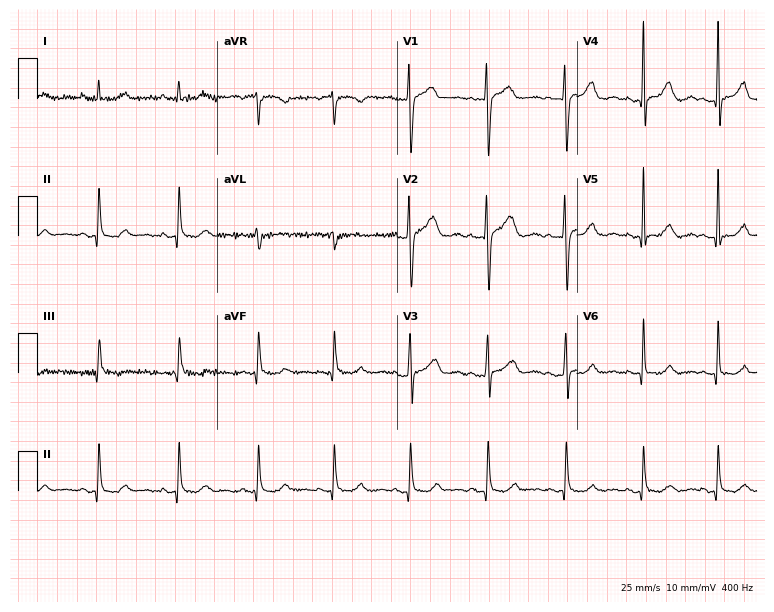
12-lead ECG from a 40-year-old female patient (7.3-second recording at 400 Hz). Recorded interpretation: within normal limits.